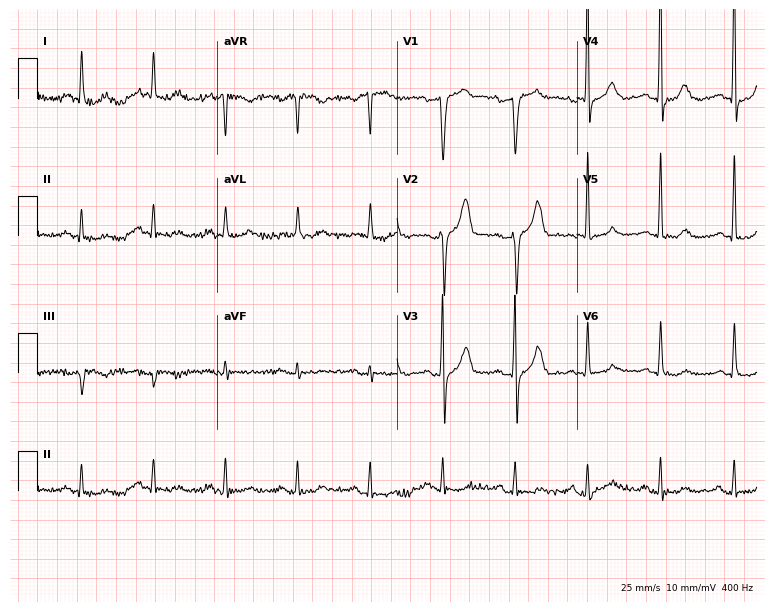
ECG (7.3-second recording at 400 Hz) — a male patient, 87 years old. Screened for six findings — first-degree AV block, right bundle branch block (RBBB), left bundle branch block (LBBB), sinus bradycardia, atrial fibrillation (AF), sinus tachycardia — none is recorded.